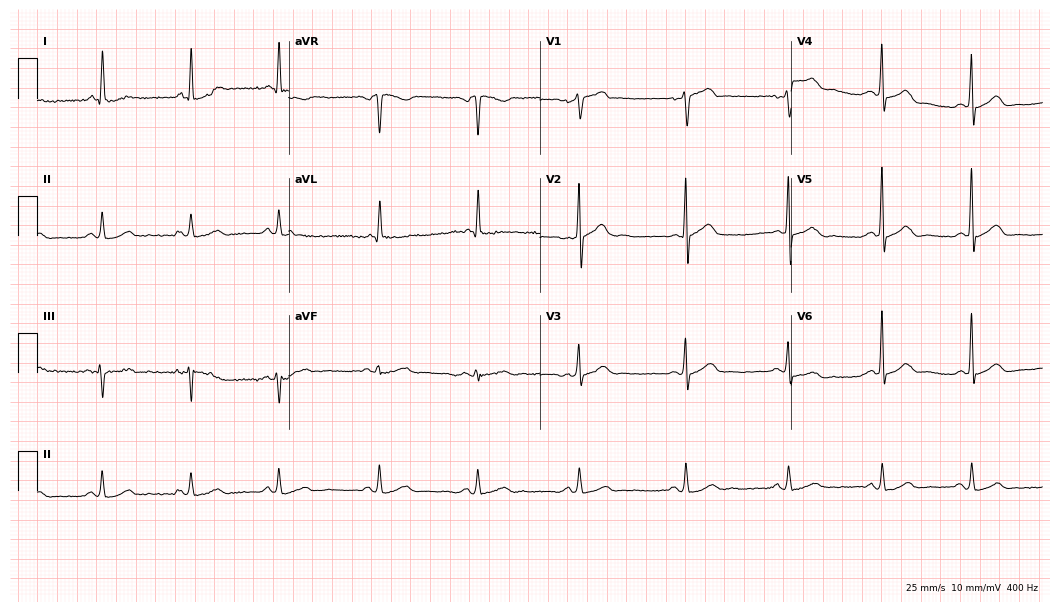
Resting 12-lead electrocardiogram (10.2-second recording at 400 Hz). Patient: a 71-year-old man. Read as a normal ECG.